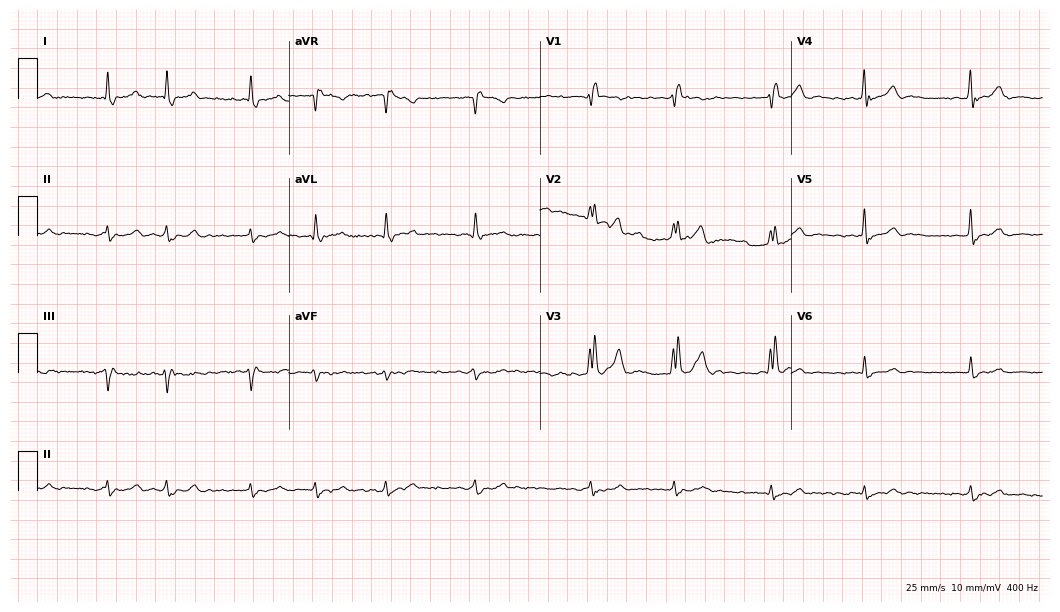
12-lead ECG from a man, 73 years old. Findings include right bundle branch block (RBBB), atrial fibrillation (AF).